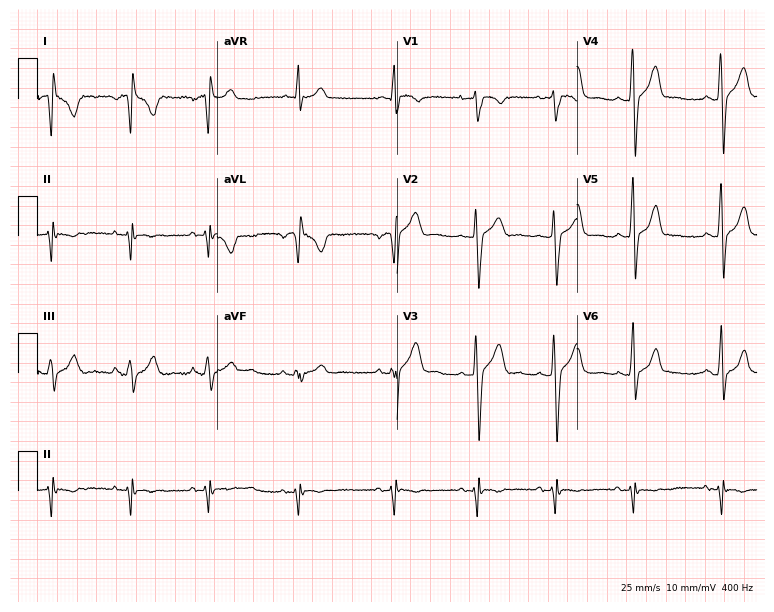
12-lead ECG from a 19-year-old male patient. Screened for six findings — first-degree AV block, right bundle branch block, left bundle branch block, sinus bradycardia, atrial fibrillation, sinus tachycardia — none is recorded. Findings outside these six are not listed.